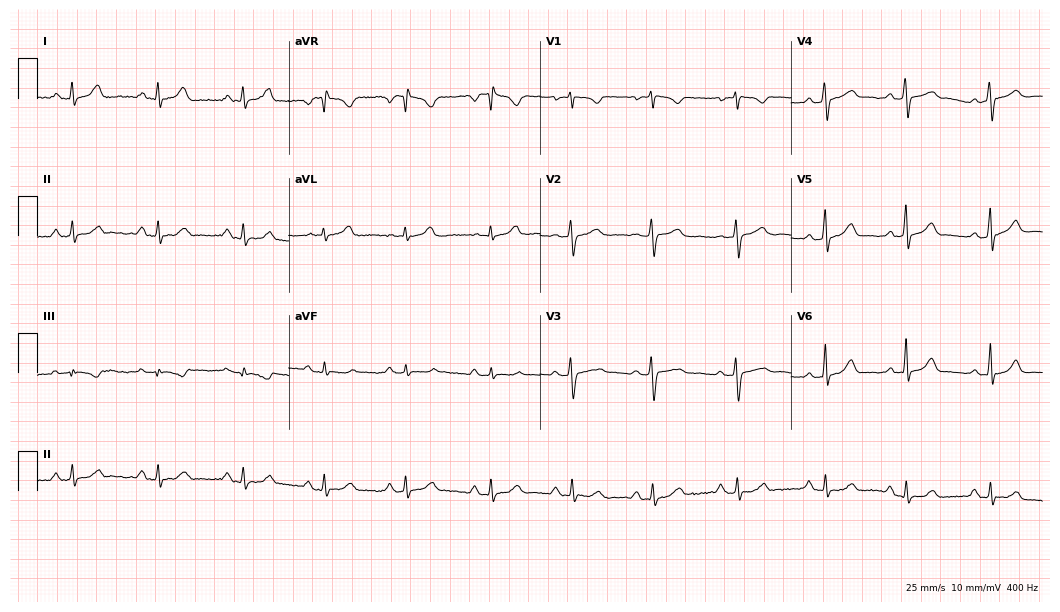
Resting 12-lead electrocardiogram. Patient: a female, 21 years old. Read as a normal ECG.